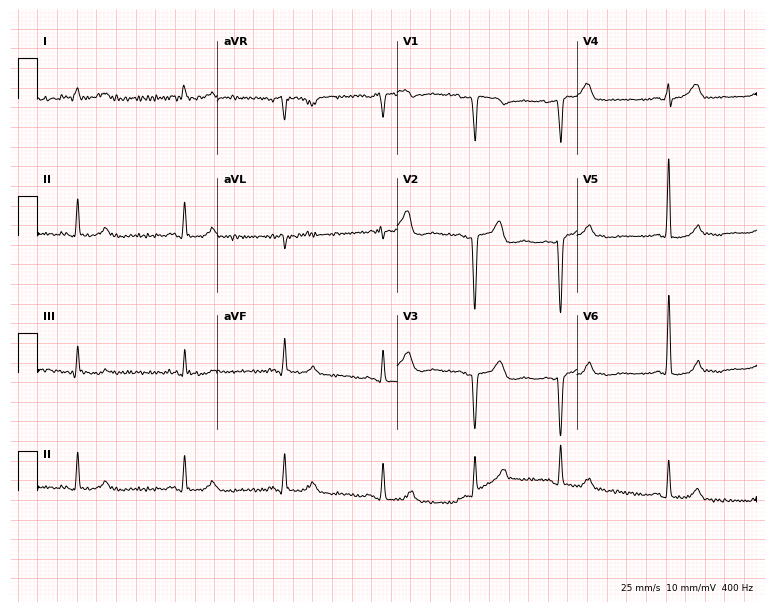
ECG (7.3-second recording at 400 Hz) — a 74-year-old woman. Screened for six findings — first-degree AV block, right bundle branch block (RBBB), left bundle branch block (LBBB), sinus bradycardia, atrial fibrillation (AF), sinus tachycardia — none is recorded. Other findings, if any, are not listed.